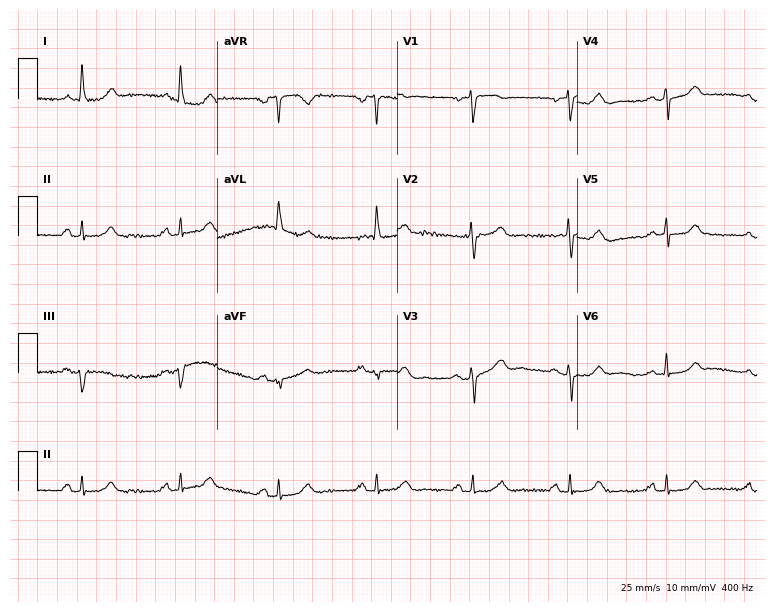
Standard 12-lead ECG recorded from a 63-year-old female patient. Read as a normal ECG.